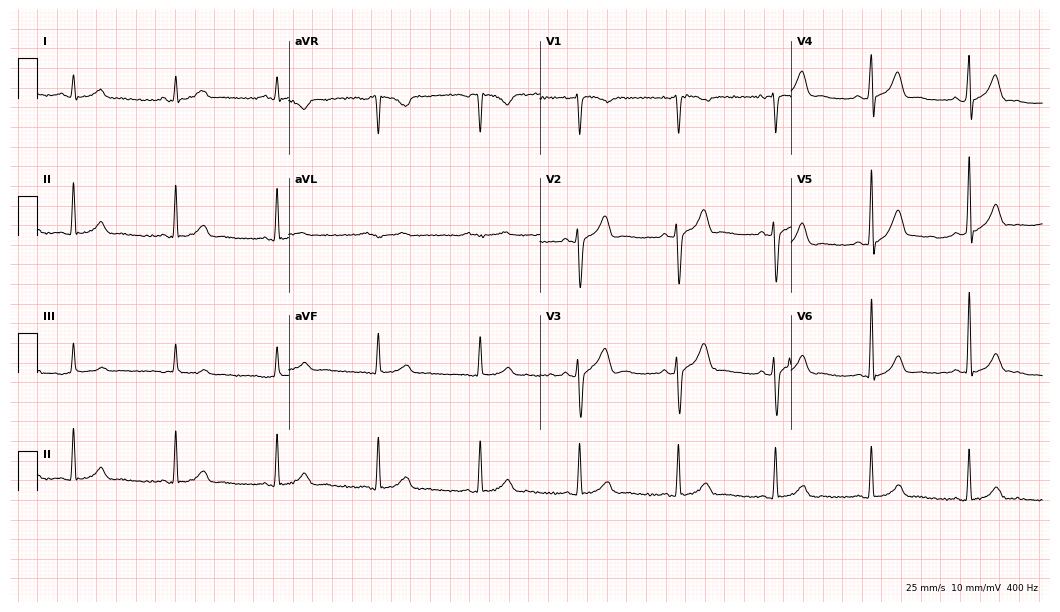
Resting 12-lead electrocardiogram. Patient: a male, 45 years old. Read as a normal ECG.